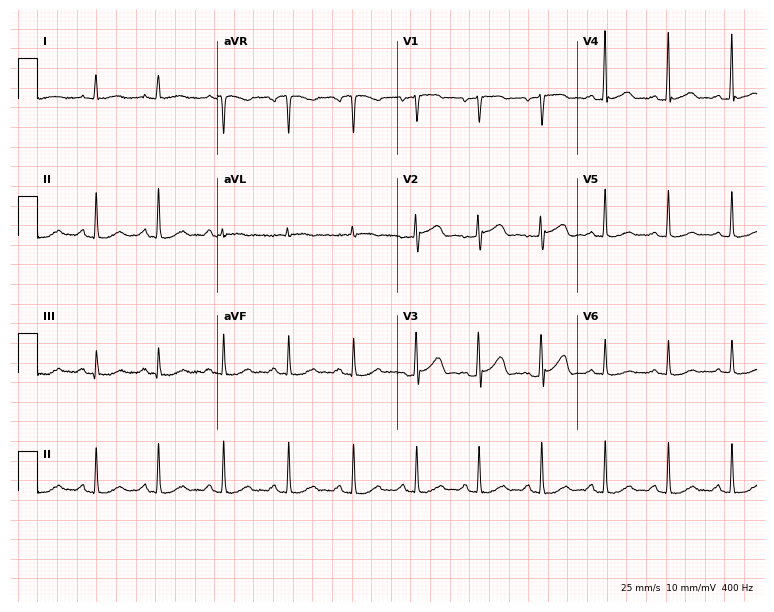
ECG (7.3-second recording at 400 Hz) — a 54-year-old female. Labelled as a normal ECG.